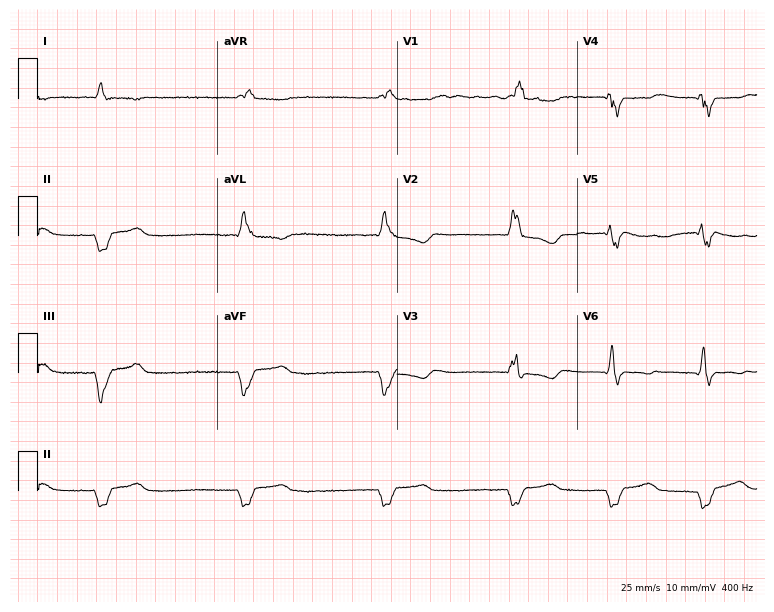
Electrocardiogram, a 58-year-old female patient. Interpretation includes right bundle branch block, atrial fibrillation.